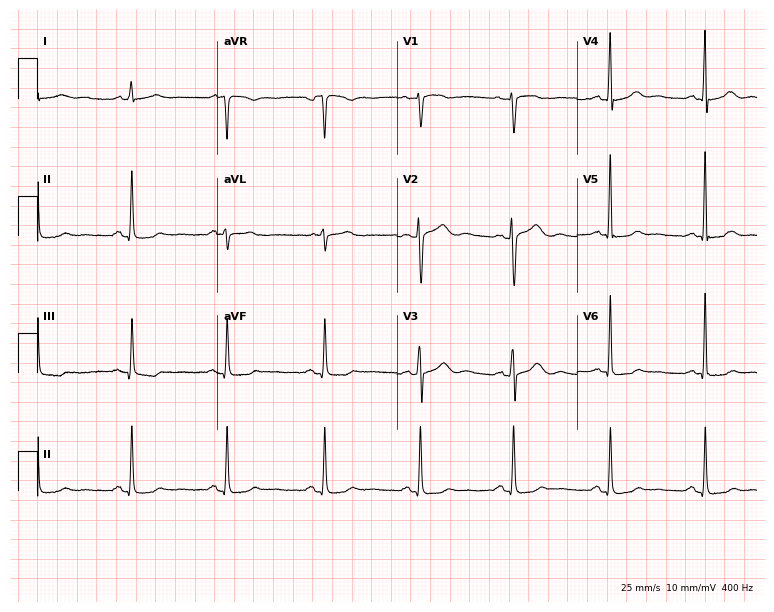
Resting 12-lead electrocardiogram. Patient: a 49-year-old female. None of these six findings is recorded: first-degree AV block, right bundle branch block, left bundle branch block, sinus bradycardia, atrial fibrillation, sinus tachycardia. Other findings, if any, are not listed.